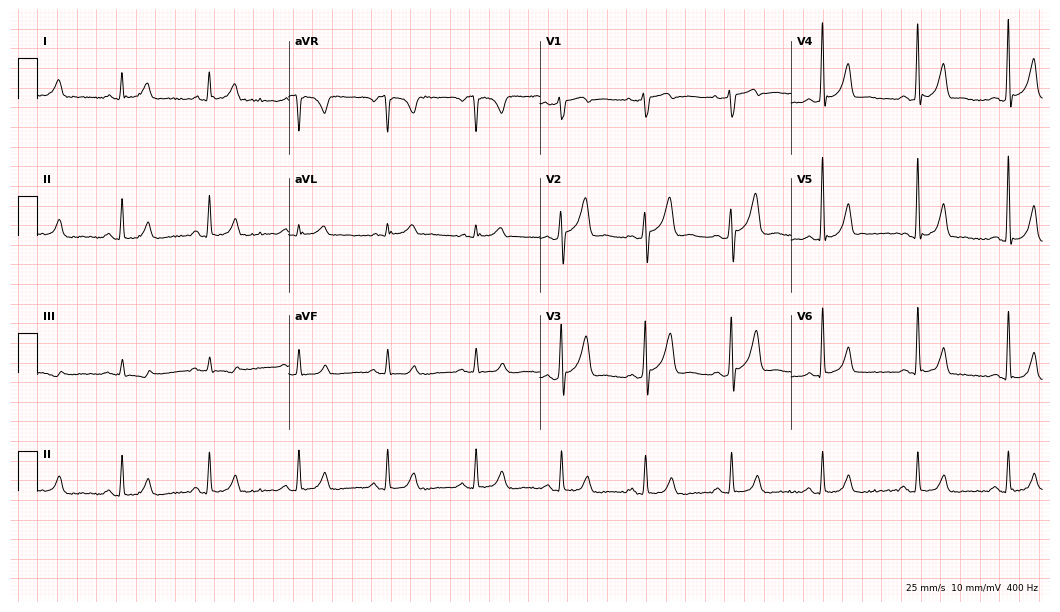
Electrocardiogram, a 51-year-old man. Overall reading on record: normal ECG.